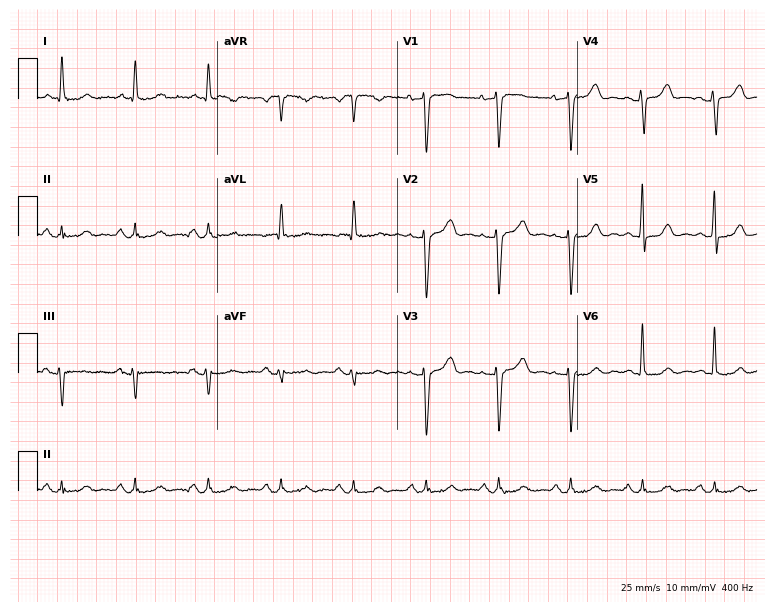
12-lead ECG (7.3-second recording at 400 Hz) from a man, 69 years old. Labelled as a normal ECG.